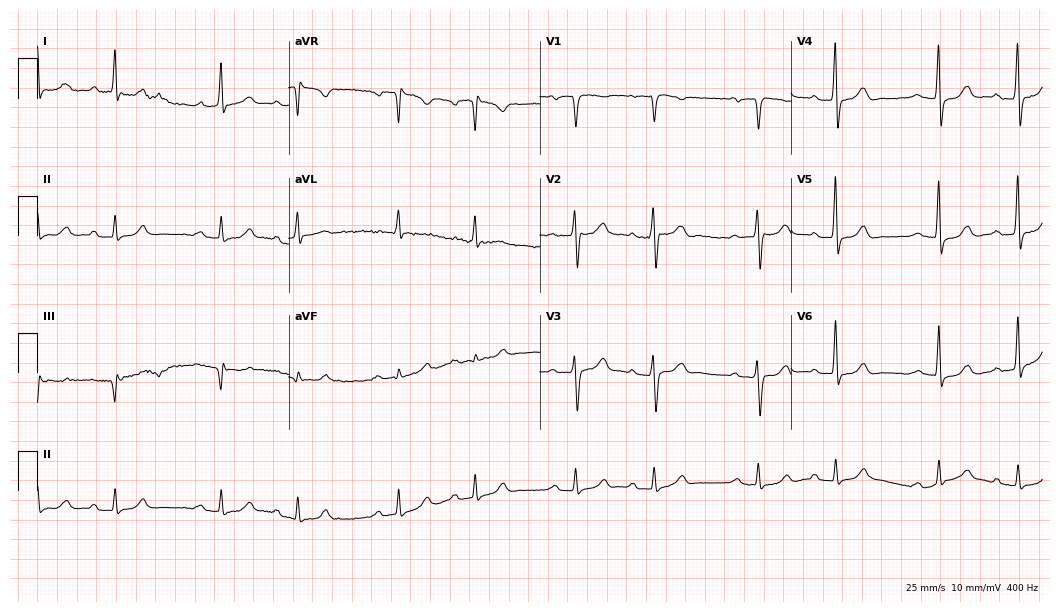
Resting 12-lead electrocardiogram (10.2-second recording at 400 Hz). Patient: a 71-year-old male. The tracing shows first-degree AV block.